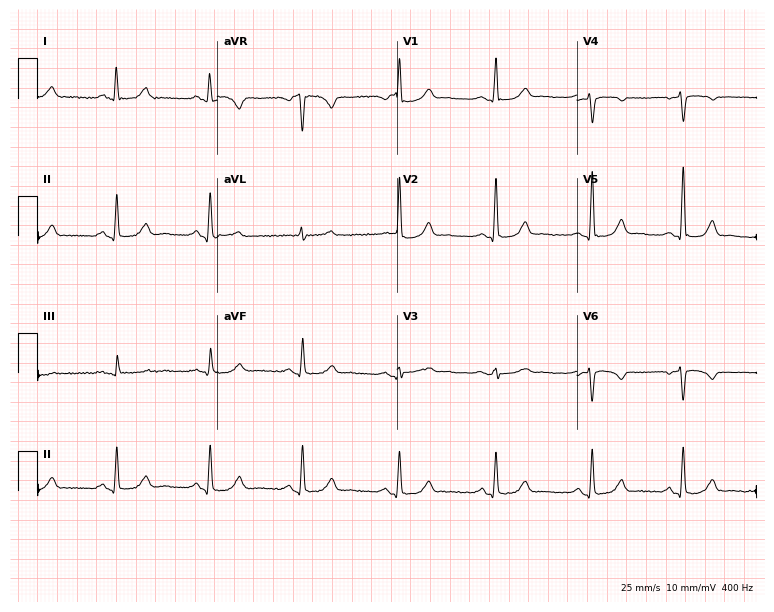
12-lead ECG (7.3-second recording at 400 Hz) from a 57-year-old woman. Screened for six findings — first-degree AV block, right bundle branch block, left bundle branch block, sinus bradycardia, atrial fibrillation, sinus tachycardia — none is recorded.